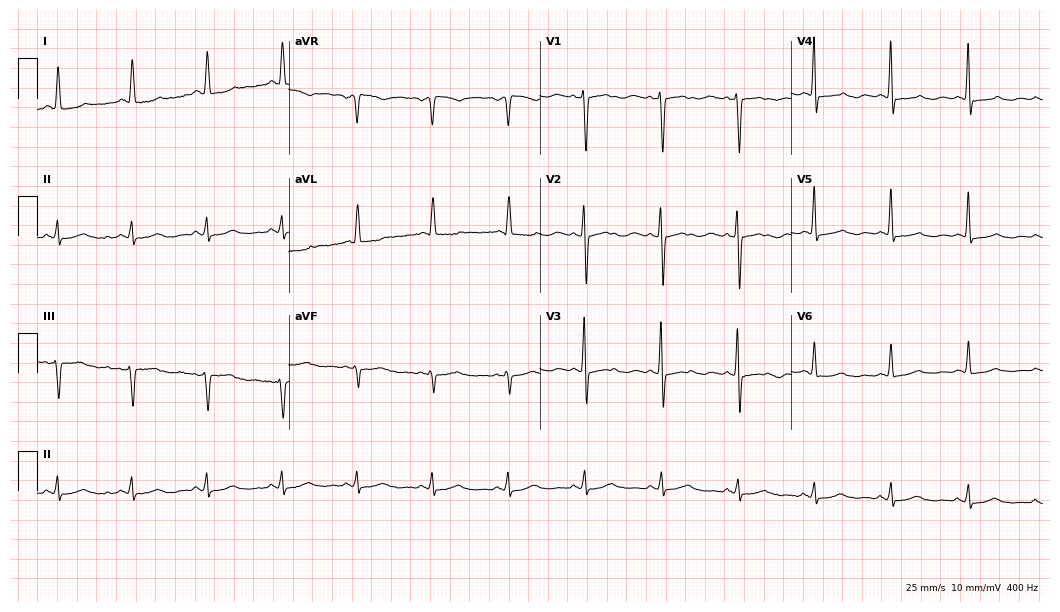
Electrocardiogram (10.2-second recording at 400 Hz), an 81-year-old female. Of the six screened findings (first-degree AV block, right bundle branch block, left bundle branch block, sinus bradycardia, atrial fibrillation, sinus tachycardia), none is recorded. Only these six findings were labelled.